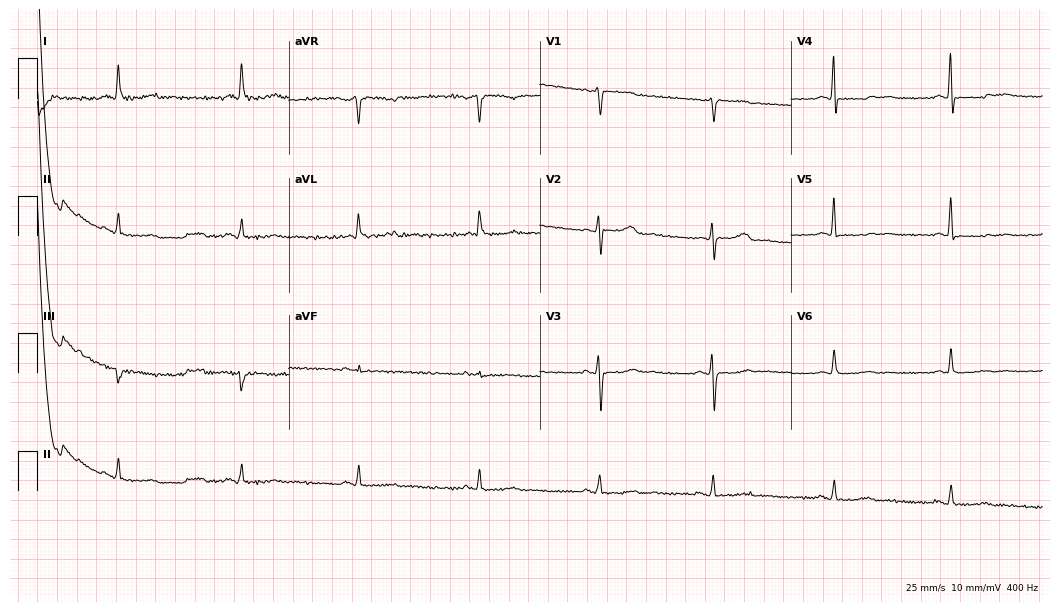
Standard 12-lead ECG recorded from a female, 77 years old. None of these six findings is recorded: first-degree AV block, right bundle branch block, left bundle branch block, sinus bradycardia, atrial fibrillation, sinus tachycardia.